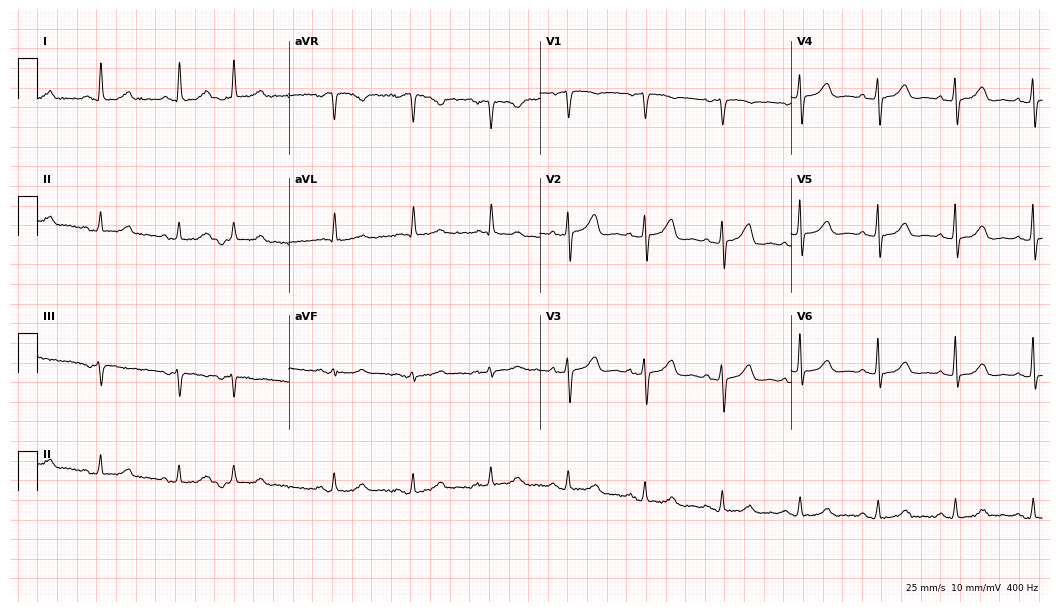
ECG (10.2-second recording at 400 Hz) — a woman, 81 years old. Labelled as a normal ECG.